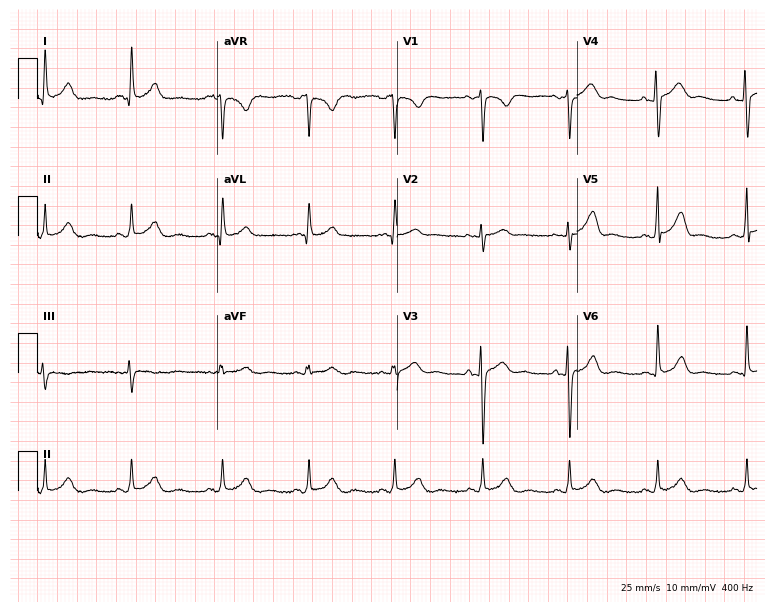
ECG (7.3-second recording at 400 Hz) — a female, 22 years old. Labelled as a normal ECG.